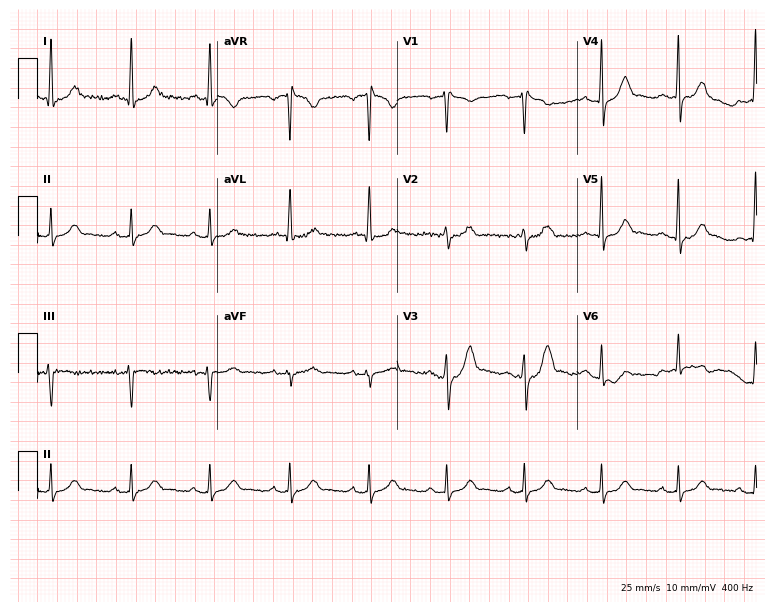
Electrocardiogram, a male, 59 years old. Overall reading on record: normal ECG.